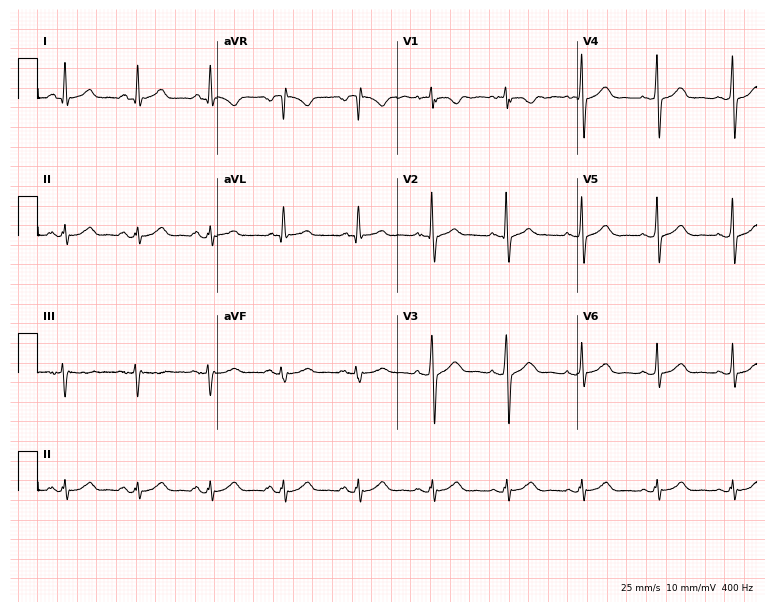
ECG — a man, 54 years old. Screened for six findings — first-degree AV block, right bundle branch block, left bundle branch block, sinus bradycardia, atrial fibrillation, sinus tachycardia — none is recorded. Only these six findings were labelled.